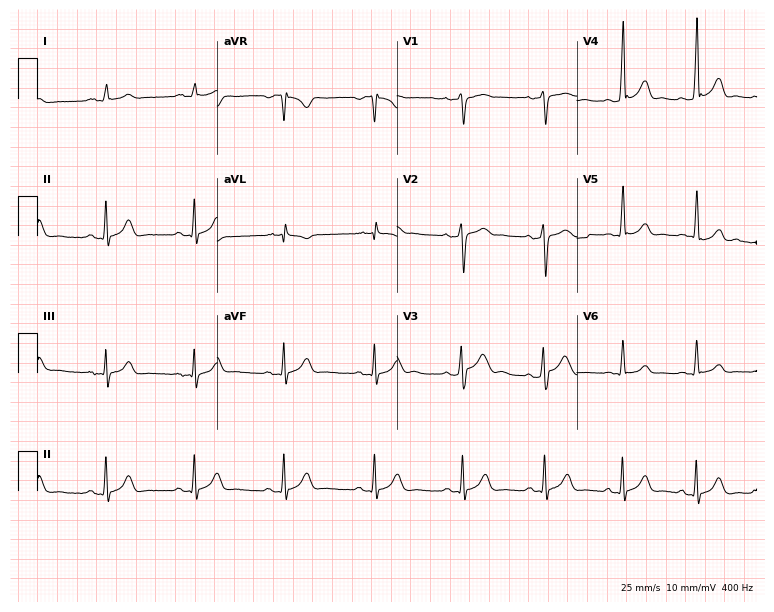
Standard 12-lead ECG recorded from a 22-year-old male patient. None of these six findings is recorded: first-degree AV block, right bundle branch block (RBBB), left bundle branch block (LBBB), sinus bradycardia, atrial fibrillation (AF), sinus tachycardia. Findings outside these six are not listed.